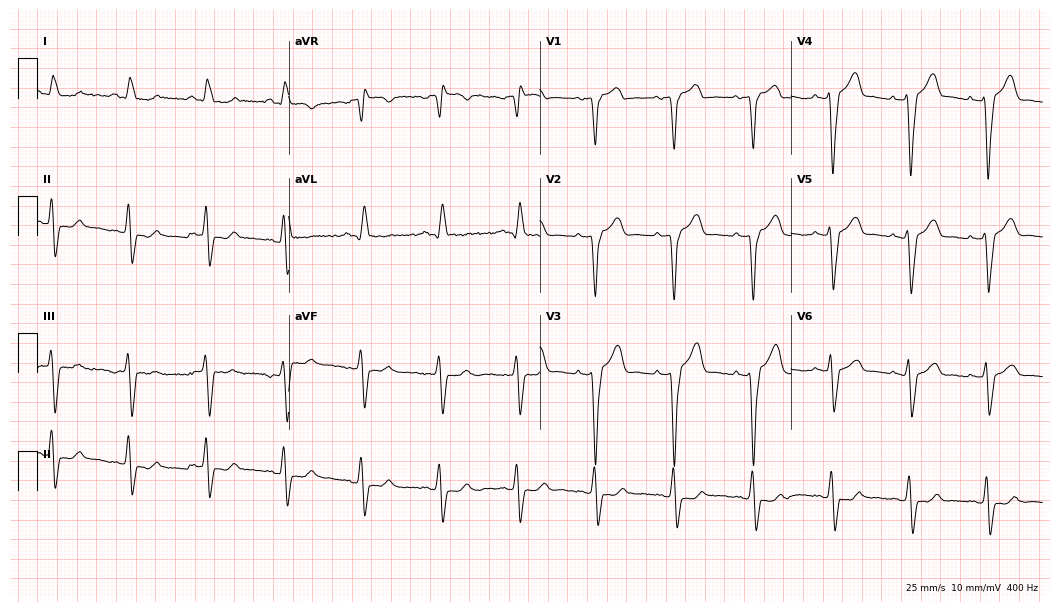
Standard 12-lead ECG recorded from a male patient, 68 years old (10.2-second recording at 400 Hz). The tracing shows left bundle branch block.